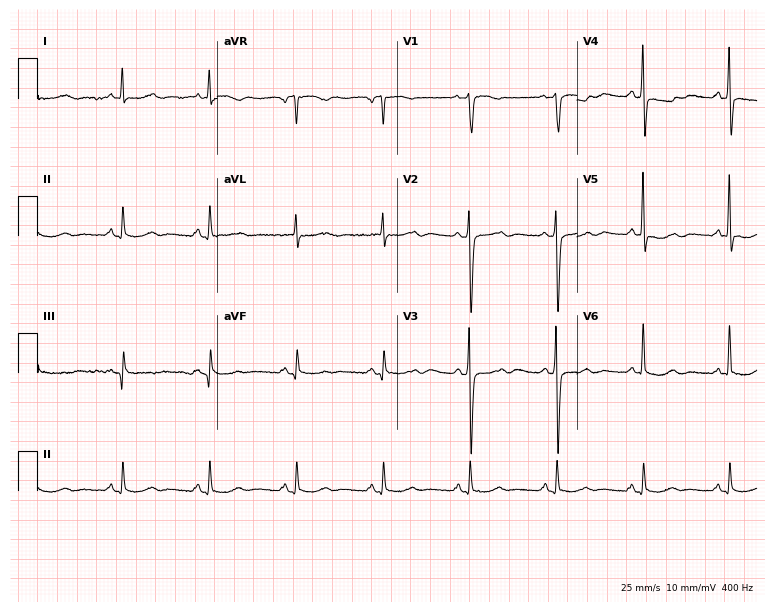
12-lead ECG from a woman, 75 years old. No first-degree AV block, right bundle branch block, left bundle branch block, sinus bradycardia, atrial fibrillation or sinus tachycardia recorded for this tracing.